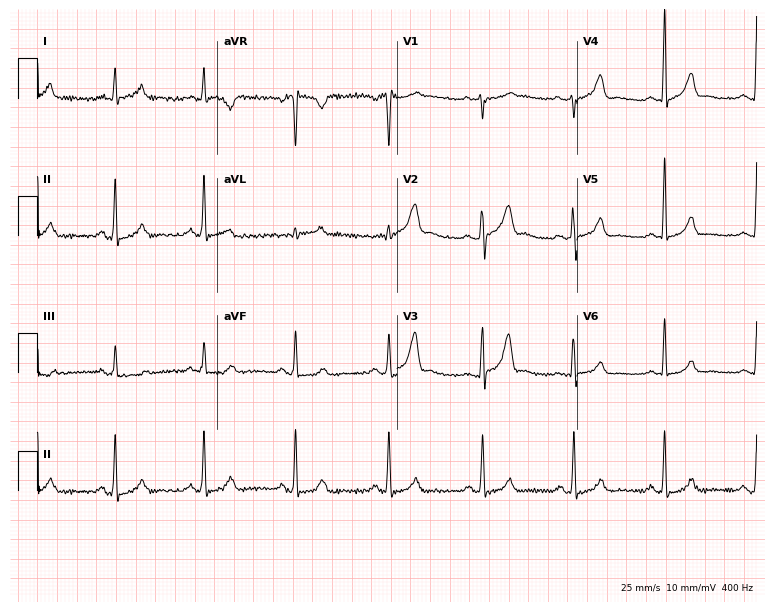
Electrocardiogram (7.3-second recording at 400 Hz), a 37-year-old male patient. Overall reading on record: normal ECG.